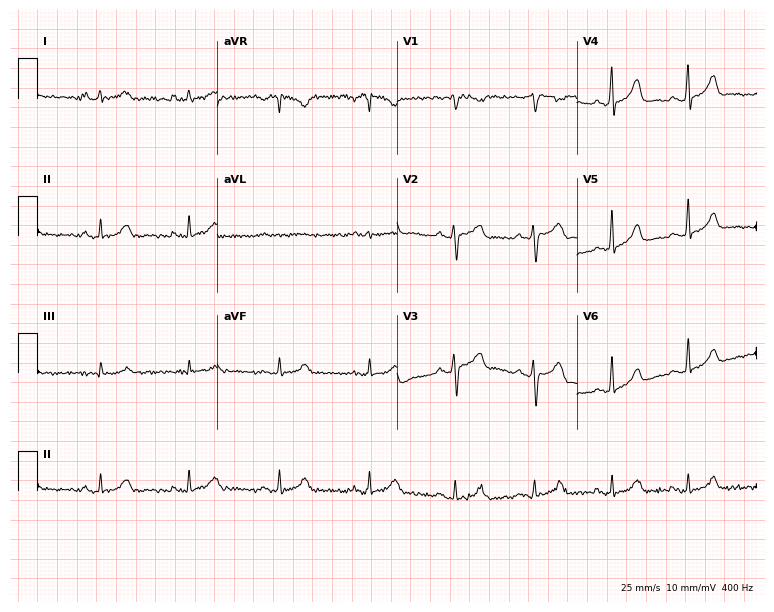
Standard 12-lead ECG recorded from a female patient, 37 years old. None of these six findings is recorded: first-degree AV block, right bundle branch block (RBBB), left bundle branch block (LBBB), sinus bradycardia, atrial fibrillation (AF), sinus tachycardia. Other findings, if any, are not listed.